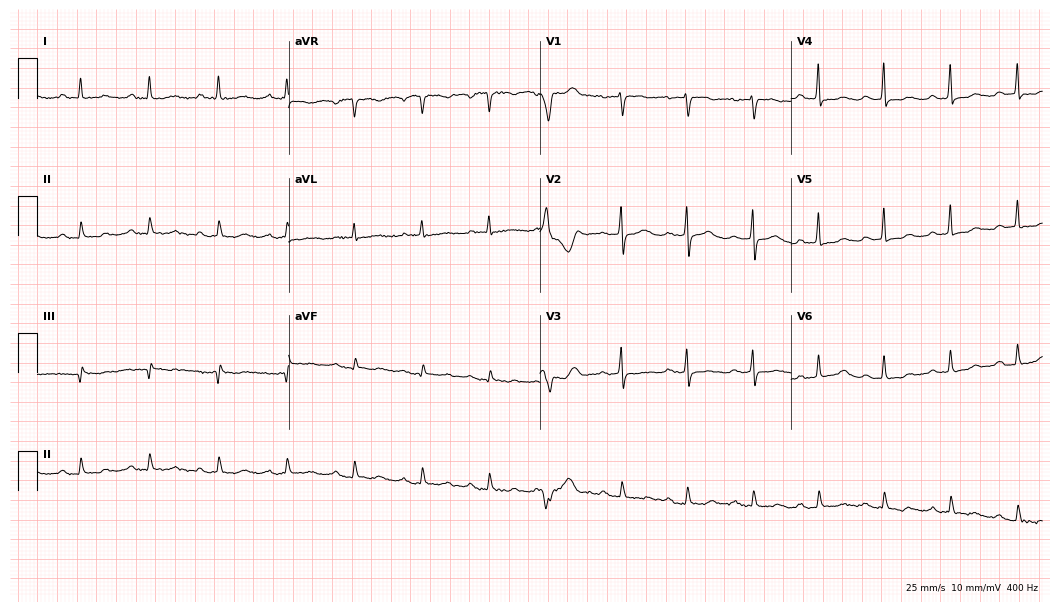
12-lead ECG from a 71-year-old woman (10.2-second recording at 400 Hz). No first-degree AV block, right bundle branch block, left bundle branch block, sinus bradycardia, atrial fibrillation or sinus tachycardia recorded for this tracing. Only these six findings were labelled.